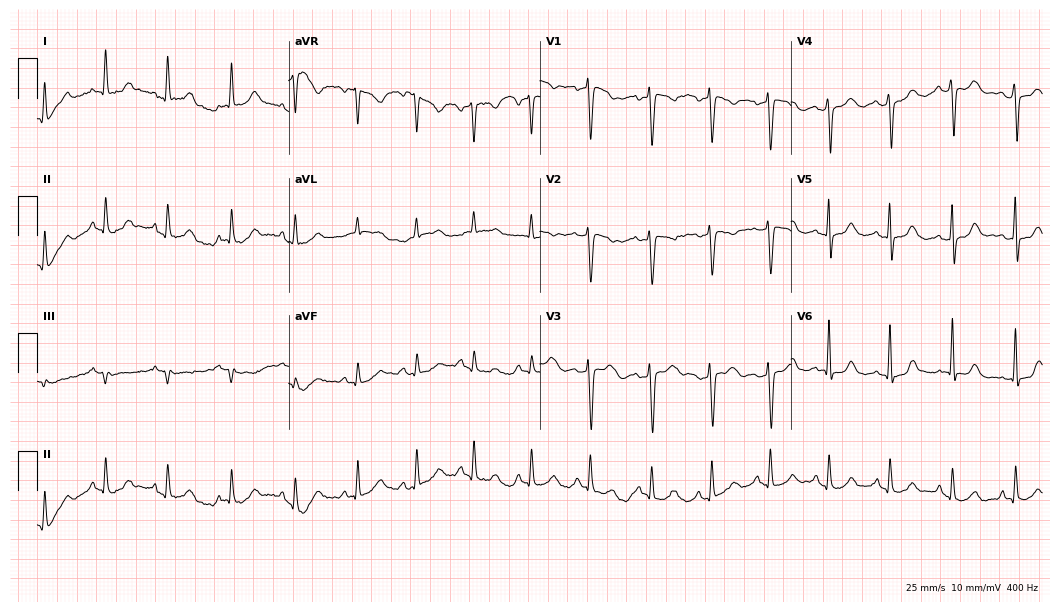
Electrocardiogram, a female, 45 years old. Overall reading on record: normal ECG.